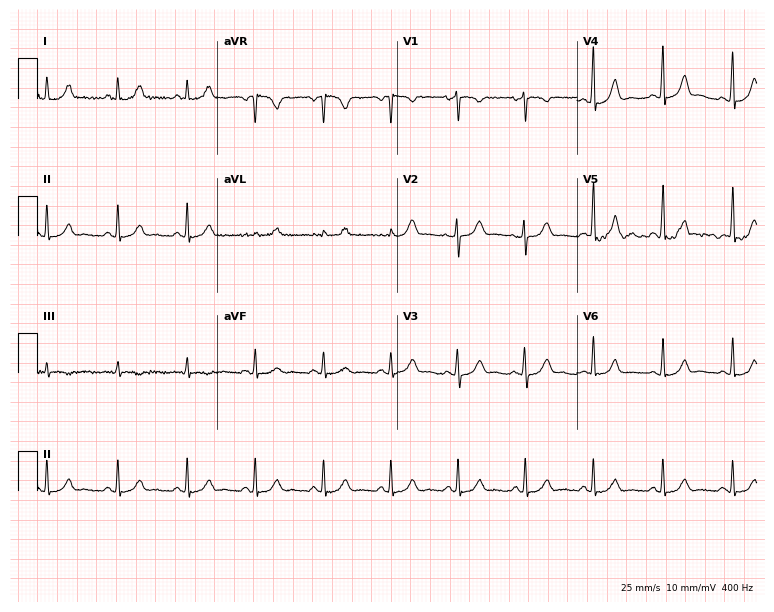
Standard 12-lead ECG recorded from a female, 35 years old (7.3-second recording at 400 Hz). None of these six findings is recorded: first-degree AV block, right bundle branch block (RBBB), left bundle branch block (LBBB), sinus bradycardia, atrial fibrillation (AF), sinus tachycardia.